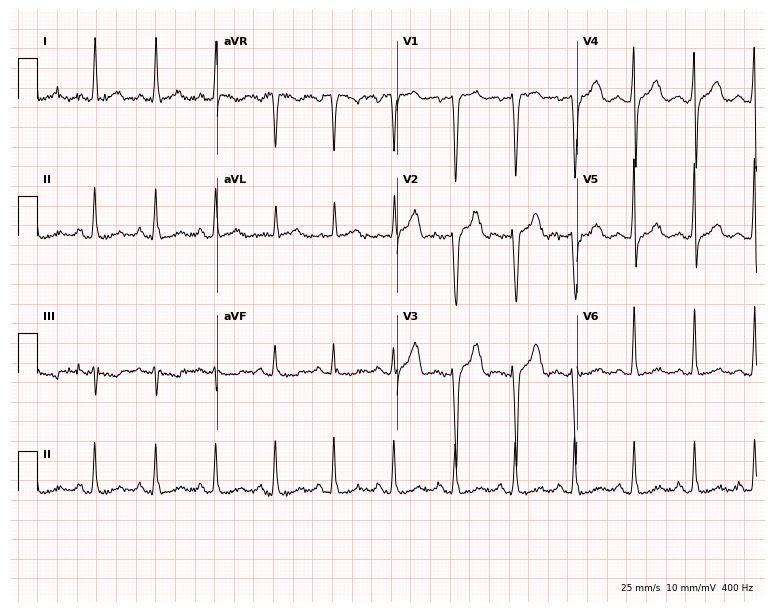
Standard 12-lead ECG recorded from a 33-year-old female. None of these six findings is recorded: first-degree AV block, right bundle branch block (RBBB), left bundle branch block (LBBB), sinus bradycardia, atrial fibrillation (AF), sinus tachycardia. Only these six findings were labelled.